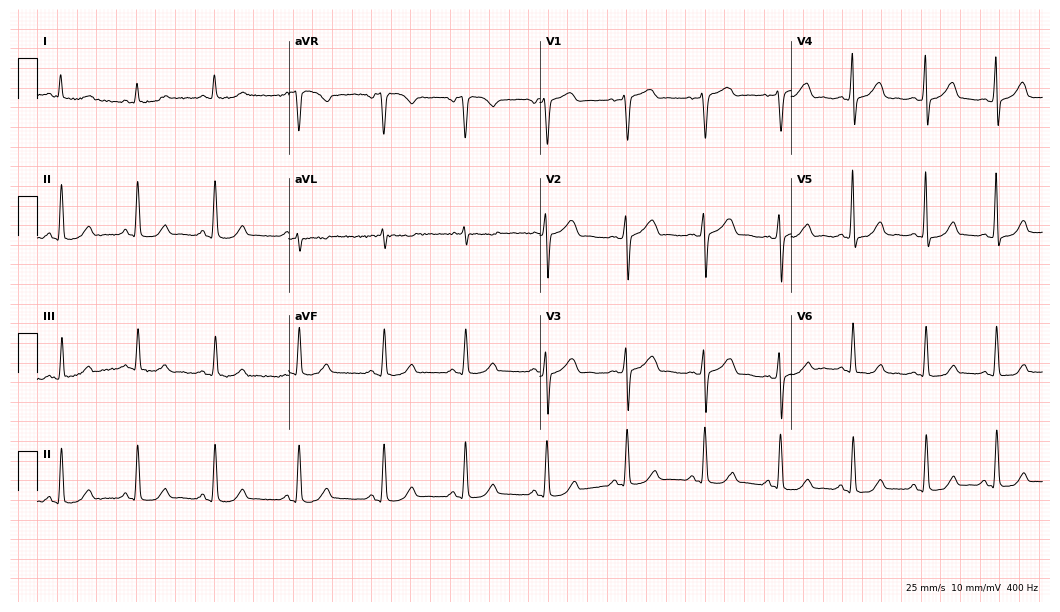
Standard 12-lead ECG recorded from a female patient, 47 years old (10.2-second recording at 400 Hz). None of these six findings is recorded: first-degree AV block, right bundle branch block (RBBB), left bundle branch block (LBBB), sinus bradycardia, atrial fibrillation (AF), sinus tachycardia. Only these six findings were labelled.